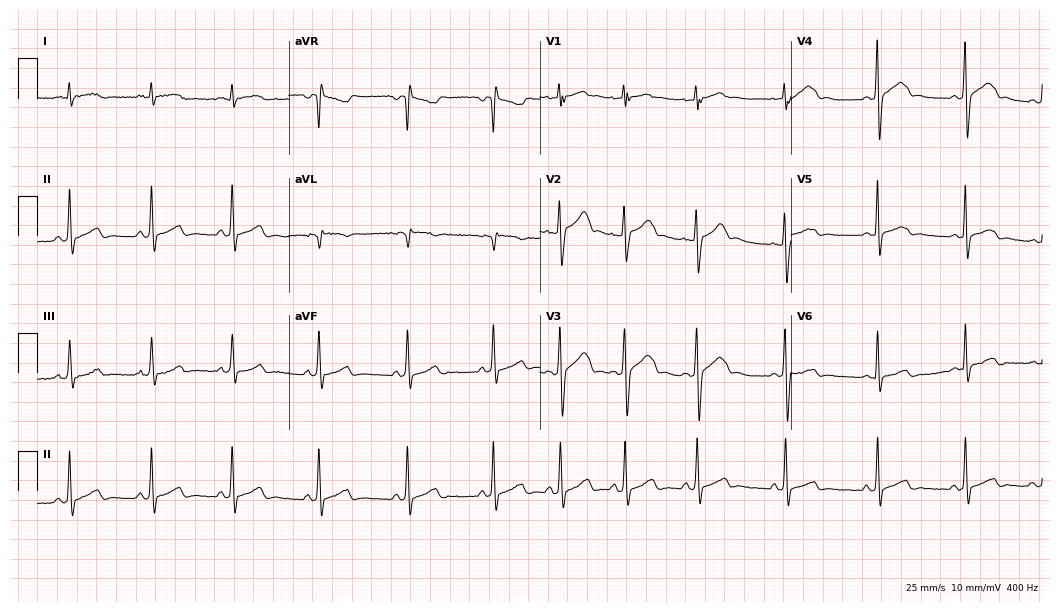
Electrocardiogram (10.2-second recording at 400 Hz), a 25-year-old male. Overall reading on record: normal ECG.